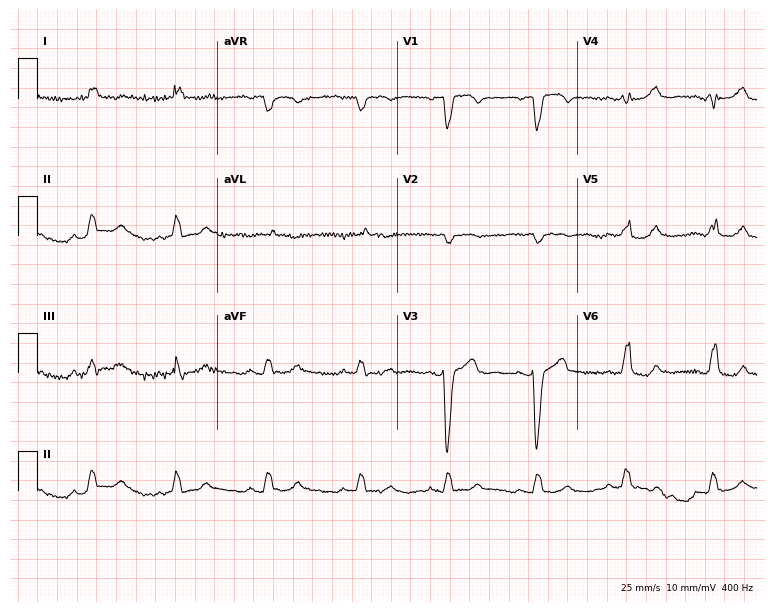
ECG (7.3-second recording at 400 Hz) — a woman, 45 years old. Screened for six findings — first-degree AV block, right bundle branch block, left bundle branch block, sinus bradycardia, atrial fibrillation, sinus tachycardia — none is recorded.